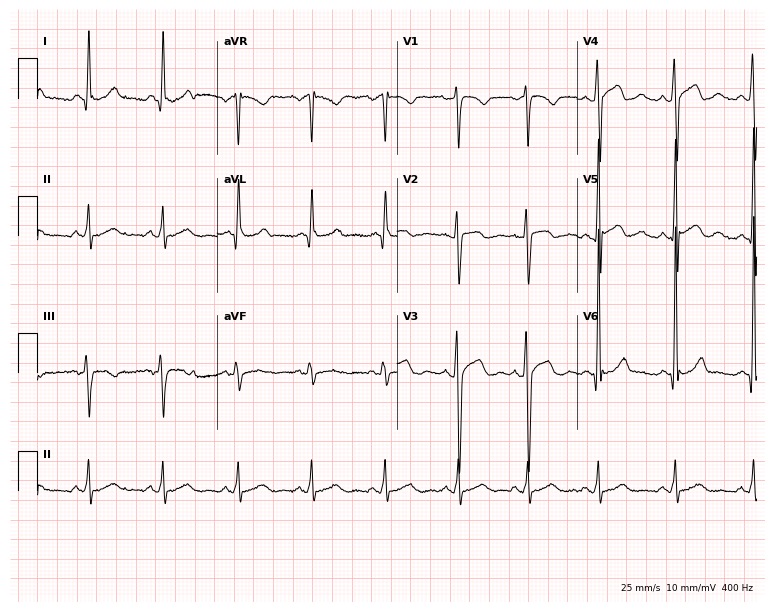
ECG (7.3-second recording at 400 Hz) — a man, 39 years old. Screened for six findings — first-degree AV block, right bundle branch block (RBBB), left bundle branch block (LBBB), sinus bradycardia, atrial fibrillation (AF), sinus tachycardia — none is recorded.